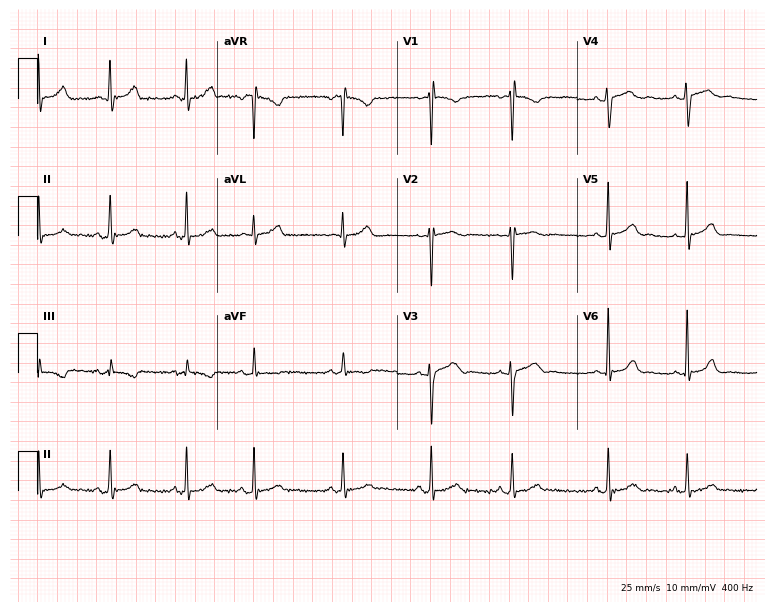
Resting 12-lead electrocardiogram. Patient: a 17-year-old woman. Read as a normal ECG.